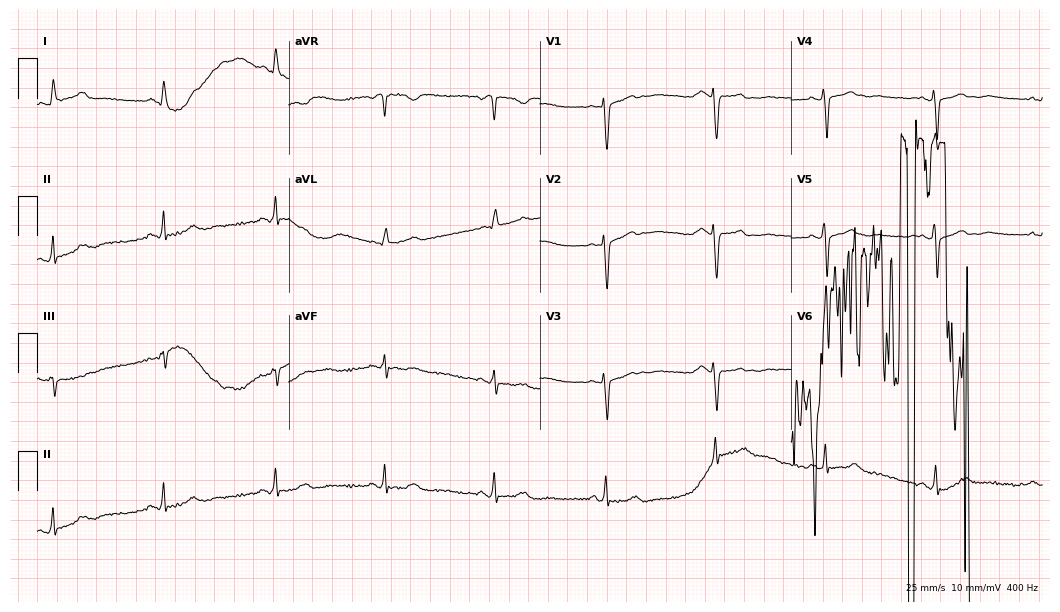
12-lead ECG from a female, 70 years old. Screened for six findings — first-degree AV block, right bundle branch block, left bundle branch block, sinus bradycardia, atrial fibrillation, sinus tachycardia — none is recorded.